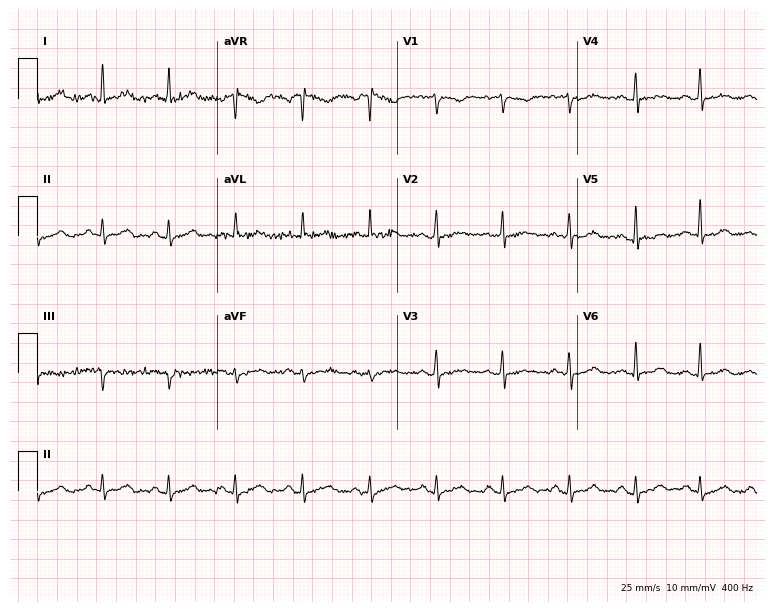
Standard 12-lead ECG recorded from a woman, 33 years old. None of these six findings is recorded: first-degree AV block, right bundle branch block, left bundle branch block, sinus bradycardia, atrial fibrillation, sinus tachycardia. Findings outside these six are not listed.